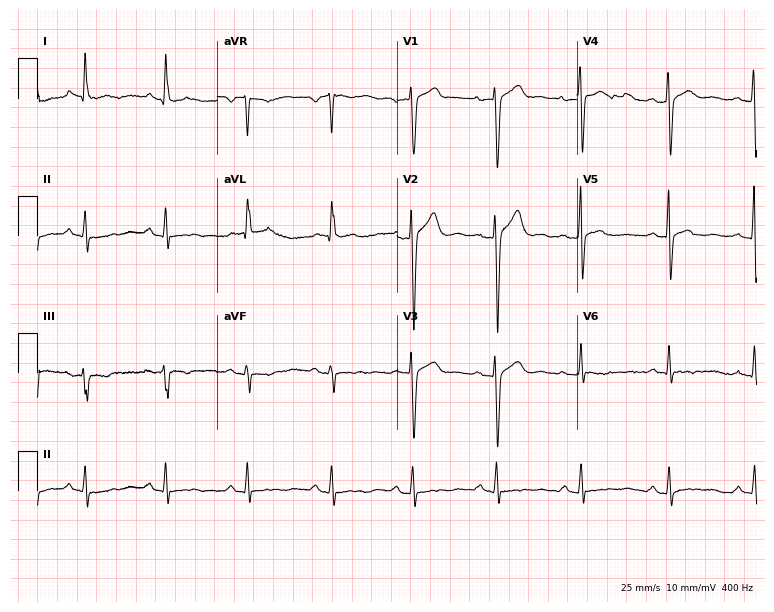
Resting 12-lead electrocardiogram (7.3-second recording at 400 Hz). Patient: a 42-year-old man. None of these six findings is recorded: first-degree AV block, right bundle branch block, left bundle branch block, sinus bradycardia, atrial fibrillation, sinus tachycardia.